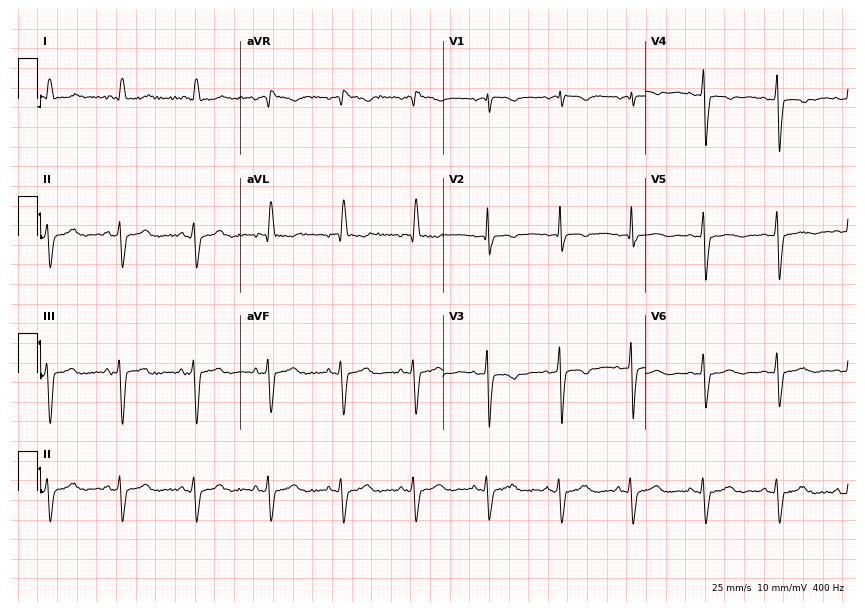
ECG — a 68-year-old woman. Screened for six findings — first-degree AV block, right bundle branch block (RBBB), left bundle branch block (LBBB), sinus bradycardia, atrial fibrillation (AF), sinus tachycardia — none is recorded.